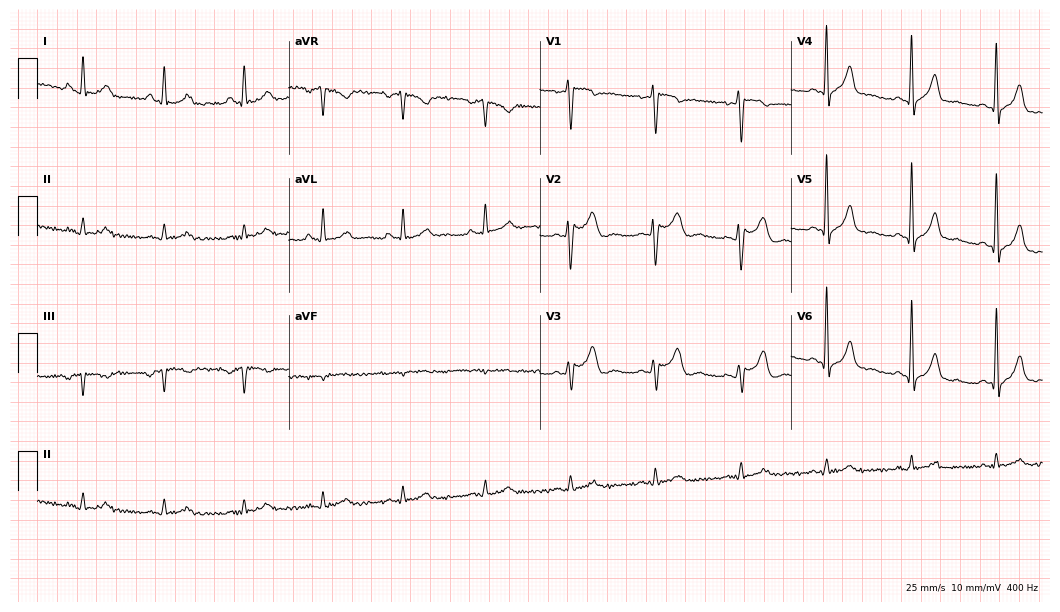
ECG (10.2-second recording at 400 Hz) — a male, 48 years old. Labelled as a normal ECG.